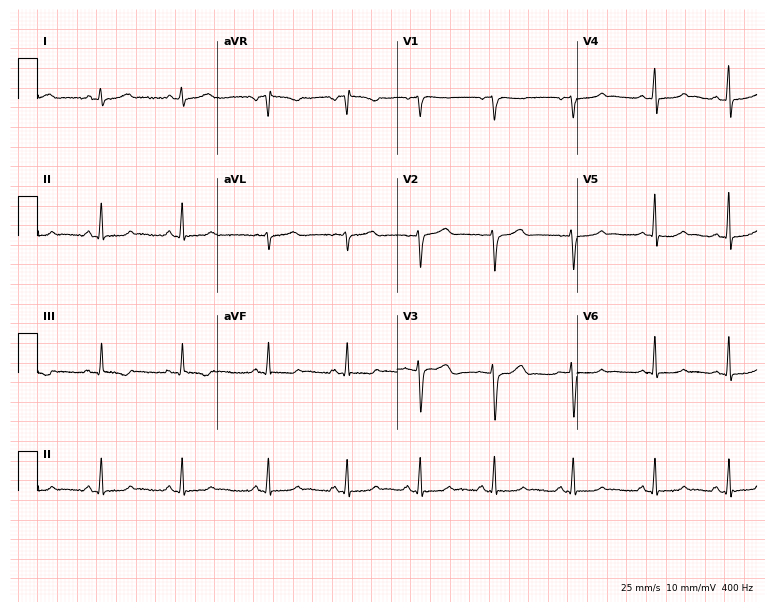
Resting 12-lead electrocardiogram. Patient: a 39-year-old woman. None of these six findings is recorded: first-degree AV block, right bundle branch block, left bundle branch block, sinus bradycardia, atrial fibrillation, sinus tachycardia.